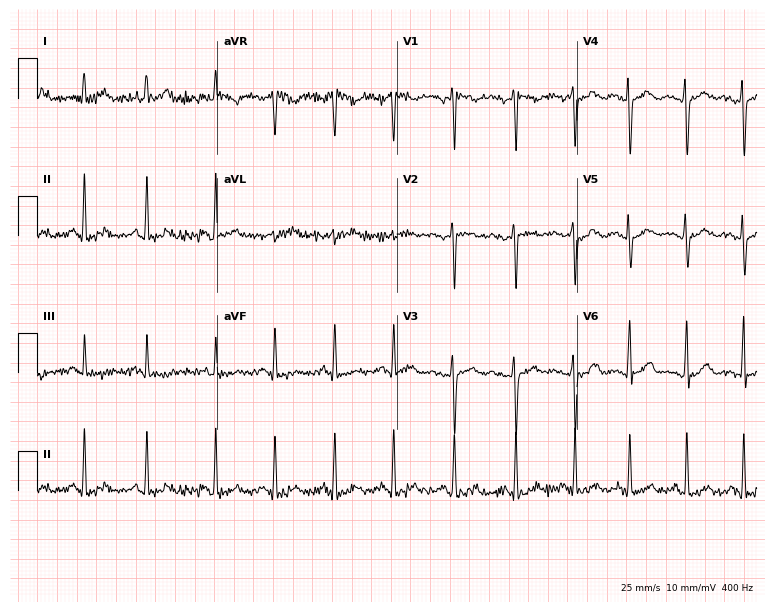
12-lead ECG from a woman, 29 years old. No first-degree AV block, right bundle branch block (RBBB), left bundle branch block (LBBB), sinus bradycardia, atrial fibrillation (AF) or sinus tachycardia recorded for this tracing.